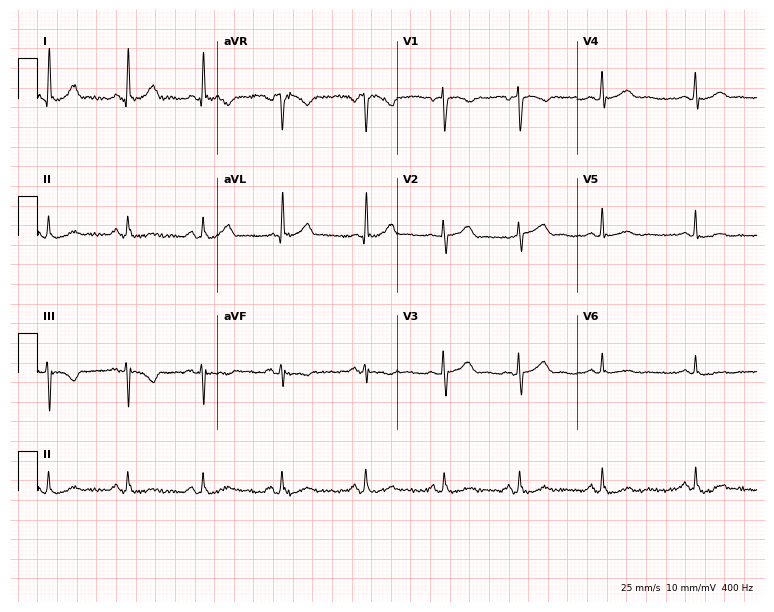
12-lead ECG (7.3-second recording at 400 Hz) from a woman, 51 years old. Screened for six findings — first-degree AV block, right bundle branch block, left bundle branch block, sinus bradycardia, atrial fibrillation, sinus tachycardia — none is recorded.